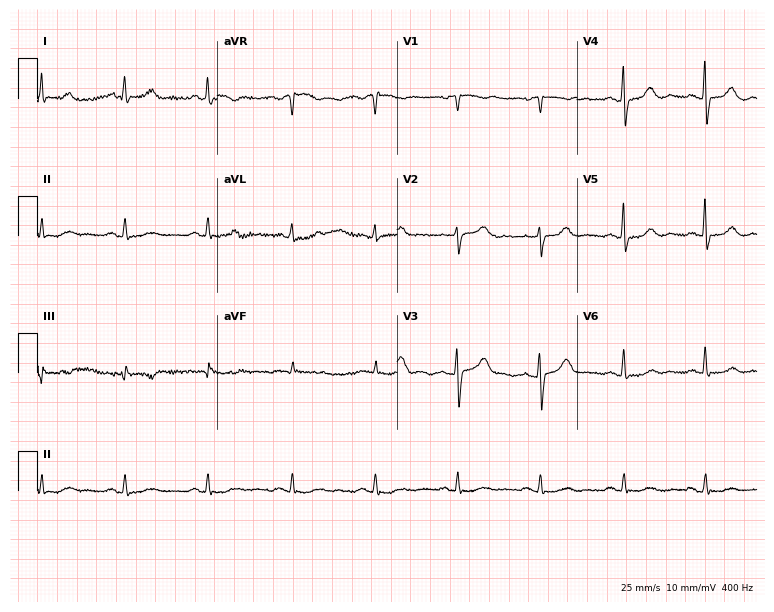
Electrocardiogram (7.3-second recording at 400 Hz), a female patient, 59 years old. Of the six screened findings (first-degree AV block, right bundle branch block, left bundle branch block, sinus bradycardia, atrial fibrillation, sinus tachycardia), none is recorded.